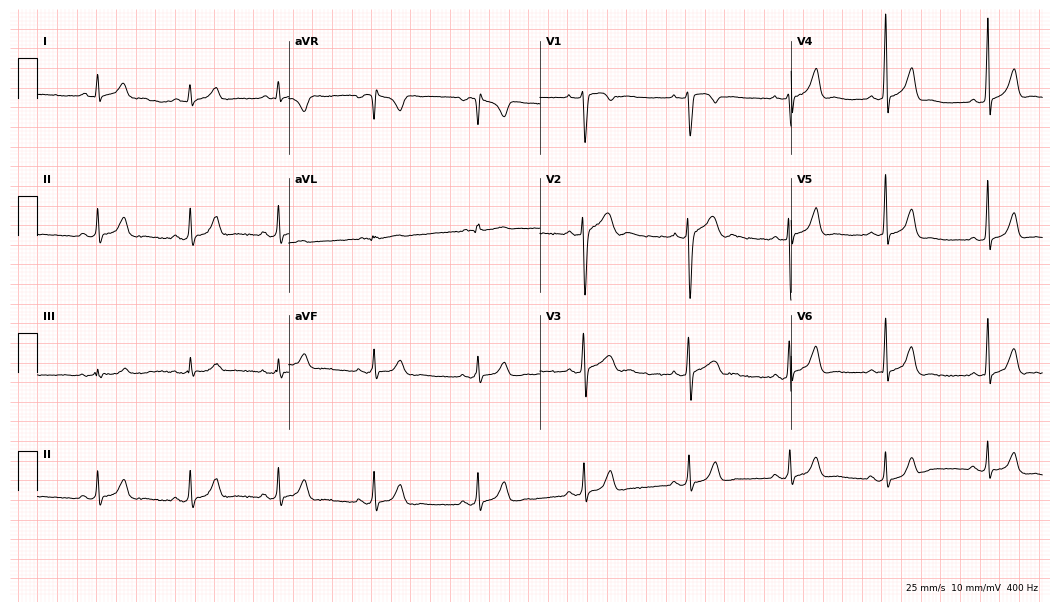
12-lead ECG (10.2-second recording at 400 Hz) from a 21-year-old male patient. Screened for six findings — first-degree AV block, right bundle branch block, left bundle branch block, sinus bradycardia, atrial fibrillation, sinus tachycardia — none is recorded.